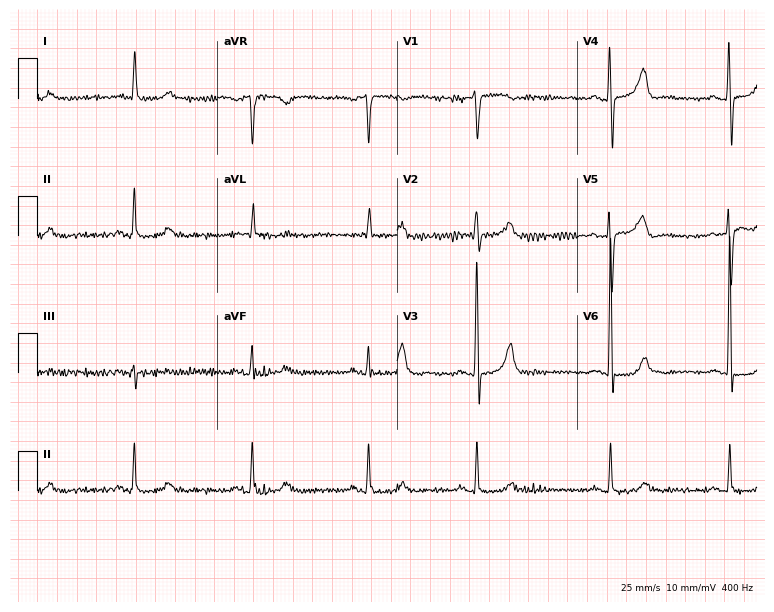
Resting 12-lead electrocardiogram (7.3-second recording at 400 Hz). Patient: a female, 81 years old. Read as a normal ECG.